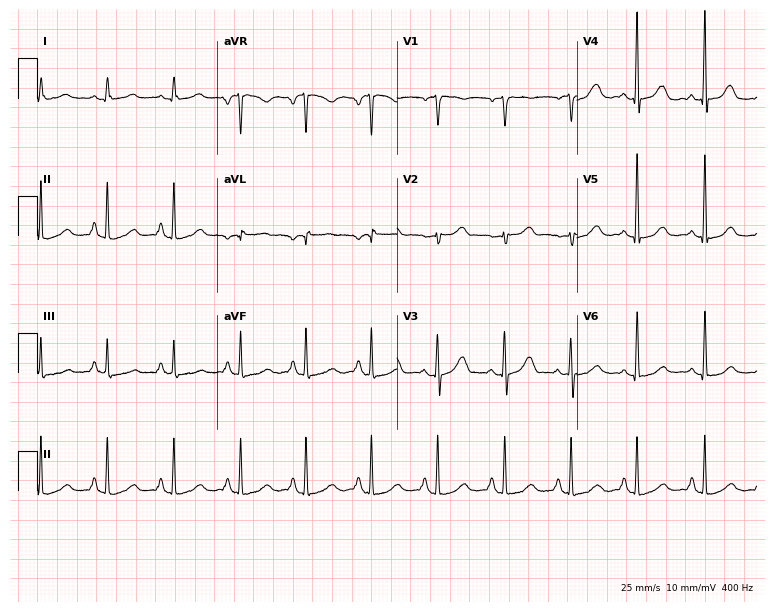
Standard 12-lead ECG recorded from a woman, 58 years old (7.3-second recording at 400 Hz). None of these six findings is recorded: first-degree AV block, right bundle branch block, left bundle branch block, sinus bradycardia, atrial fibrillation, sinus tachycardia.